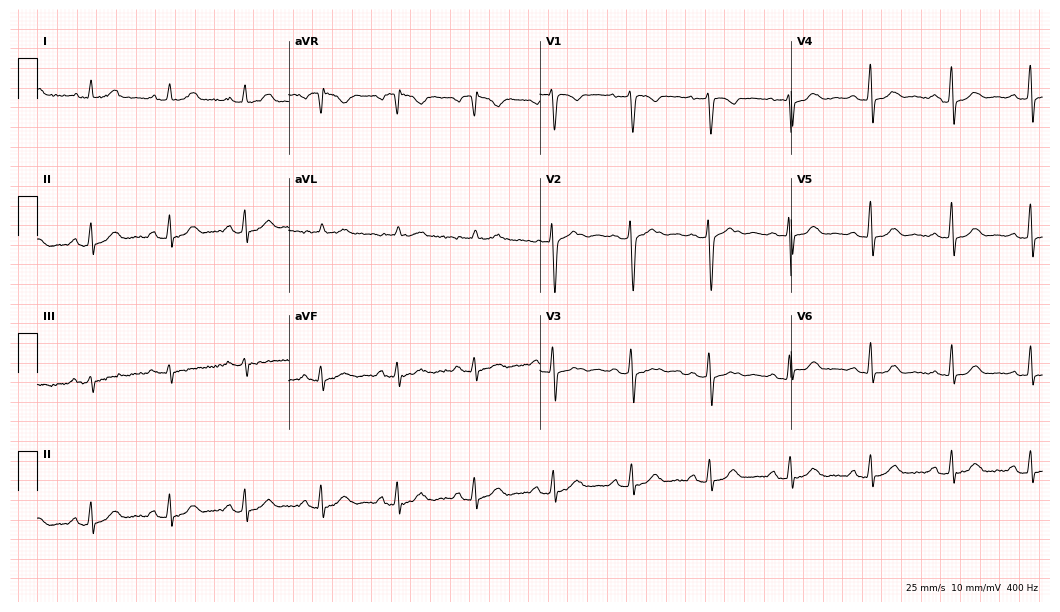
12-lead ECG from a female patient, 50 years old. Labelled as a normal ECG.